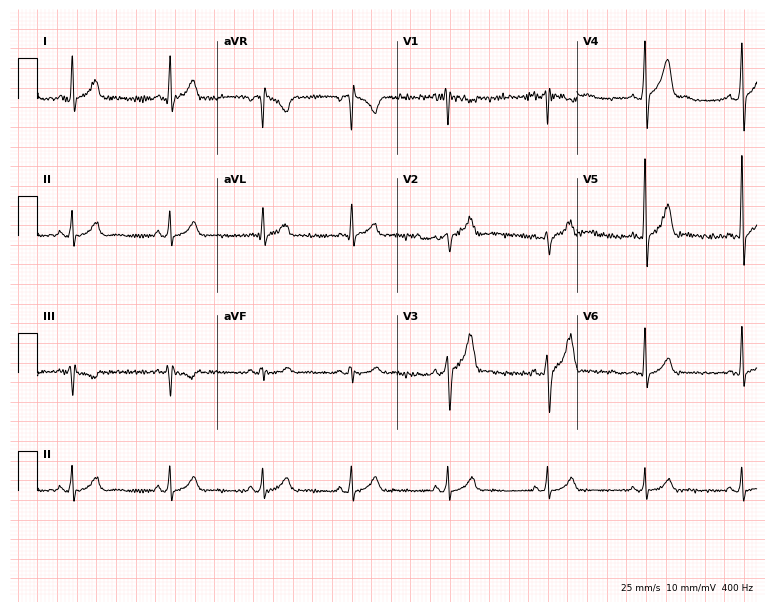
ECG — a male, 27 years old. Labelled as a normal ECG.